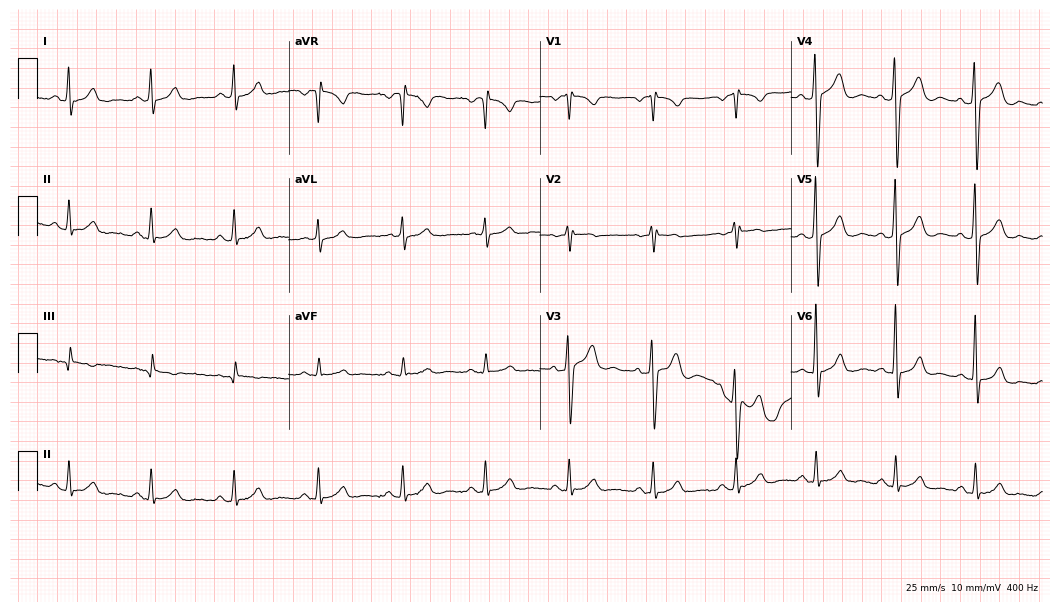
Standard 12-lead ECG recorded from a 40-year-old male (10.2-second recording at 400 Hz). None of these six findings is recorded: first-degree AV block, right bundle branch block (RBBB), left bundle branch block (LBBB), sinus bradycardia, atrial fibrillation (AF), sinus tachycardia. Only these six findings were labelled.